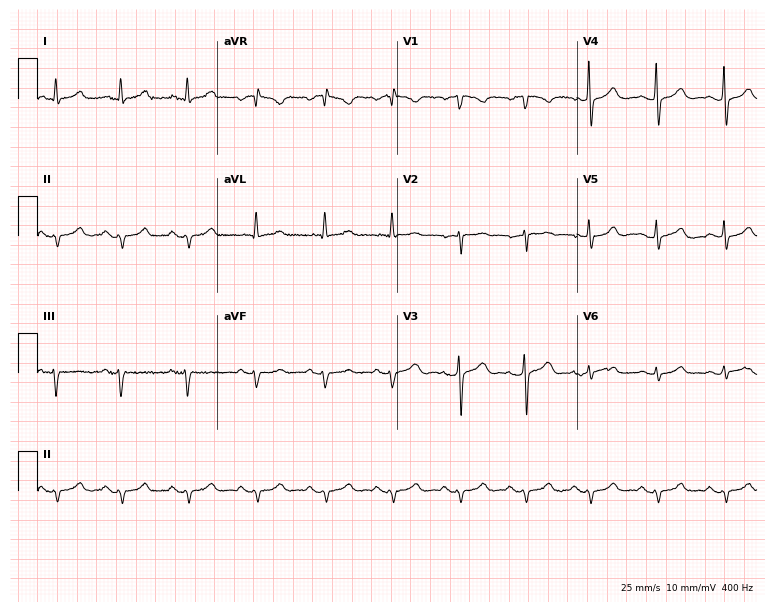
ECG (7.3-second recording at 400 Hz) — a 40-year-old man. Screened for six findings — first-degree AV block, right bundle branch block, left bundle branch block, sinus bradycardia, atrial fibrillation, sinus tachycardia — none is recorded. Only these six findings were labelled.